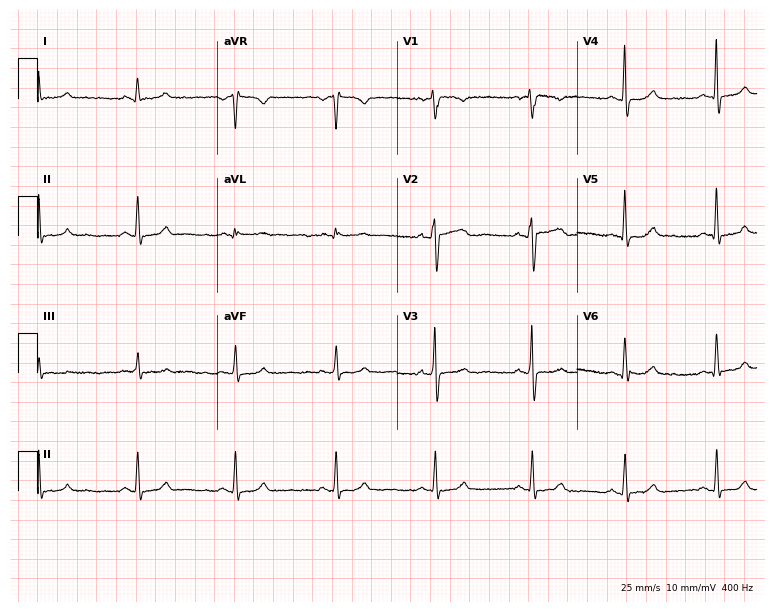
Resting 12-lead electrocardiogram (7.3-second recording at 400 Hz). Patient: a female, 53 years old. Read as a normal ECG.